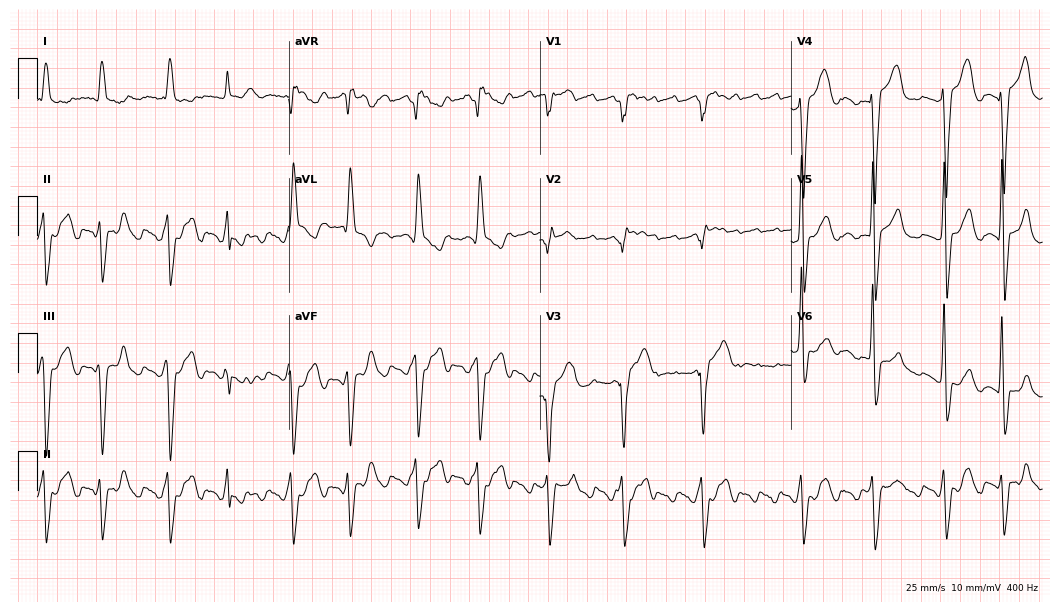
Standard 12-lead ECG recorded from a man, 72 years old. None of these six findings is recorded: first-degree AV block, right bundle branch block, left bundle branch block, sinus bradycardia, atrial fibrillation, sinus tachycardia. Findings outside these six are not listed.